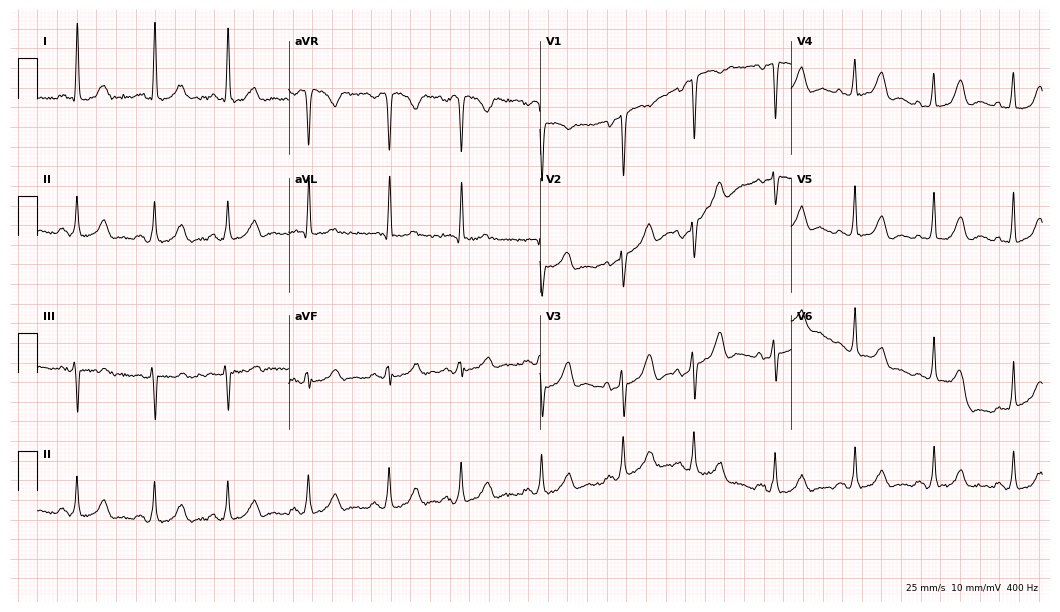
12-lead ECG from a 58-year-old woman (10.2-second recording at 400 Hz). No first-degree AV block, right bundle branch block (RBBB), left bundle branch block (LBBB), sinus bradycardia, atrial fibrillation (AF) or sinus tachycardia recorded for this tracing. Only these six findings were labelled.